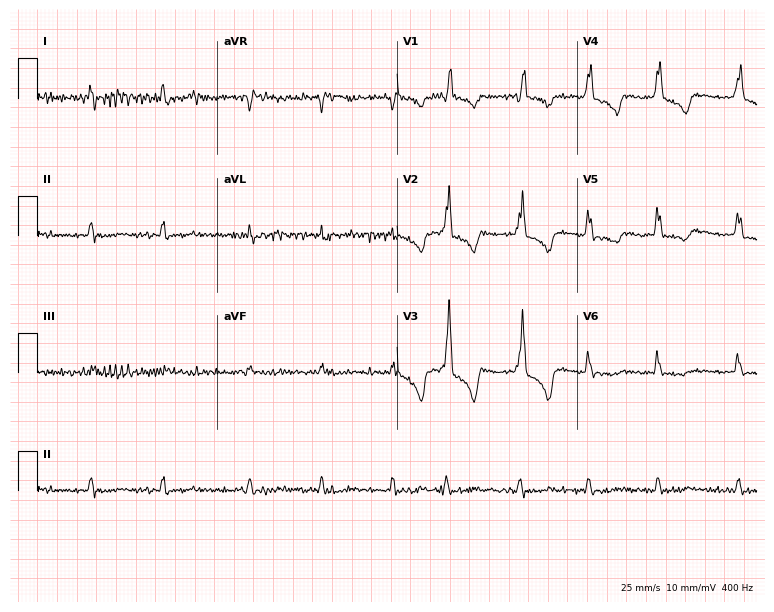
12-lead ECG (7.3-second recording at 400 Hz) from a male patient, 68 years old. Screened for six findings — first-degree AV block, right bundle branch block (RBBB), left bundle branch block (LBBB), sinus bradycardia, atrial fibrillation (AF), sinus tachycardia — none is recorded. Other findings, if any, are not listed.